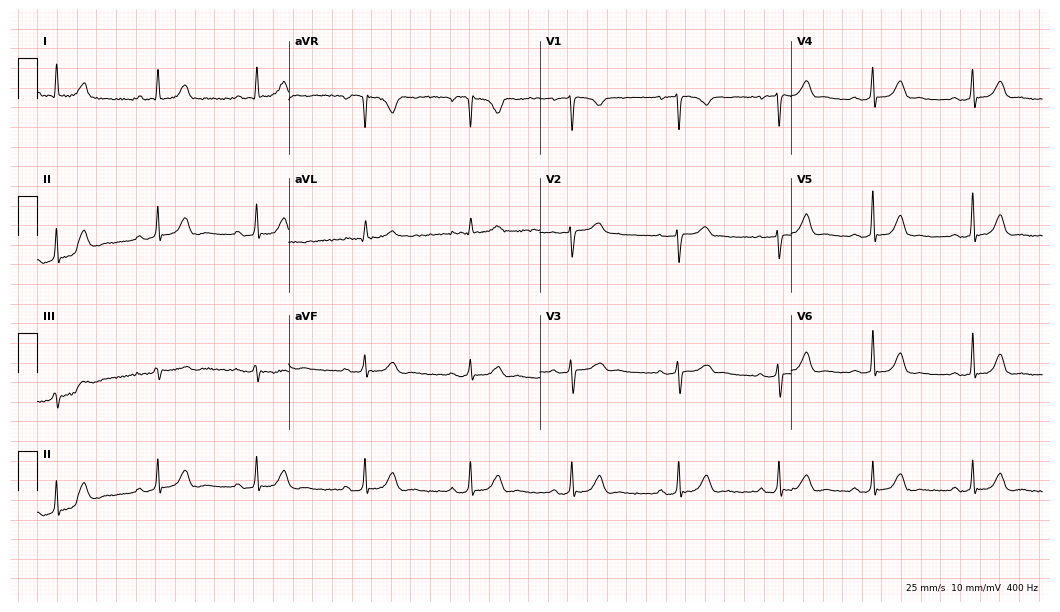
ECG — a 39-year-old male. Screened for six findings — first-degree AV block, right bundle branch block (RBBB), left bundle branch block (LBBB), sinus bradycardia, atrial fibrillation (AF), sinus tachycardia — none is recorded. Only these six findings were labelled.